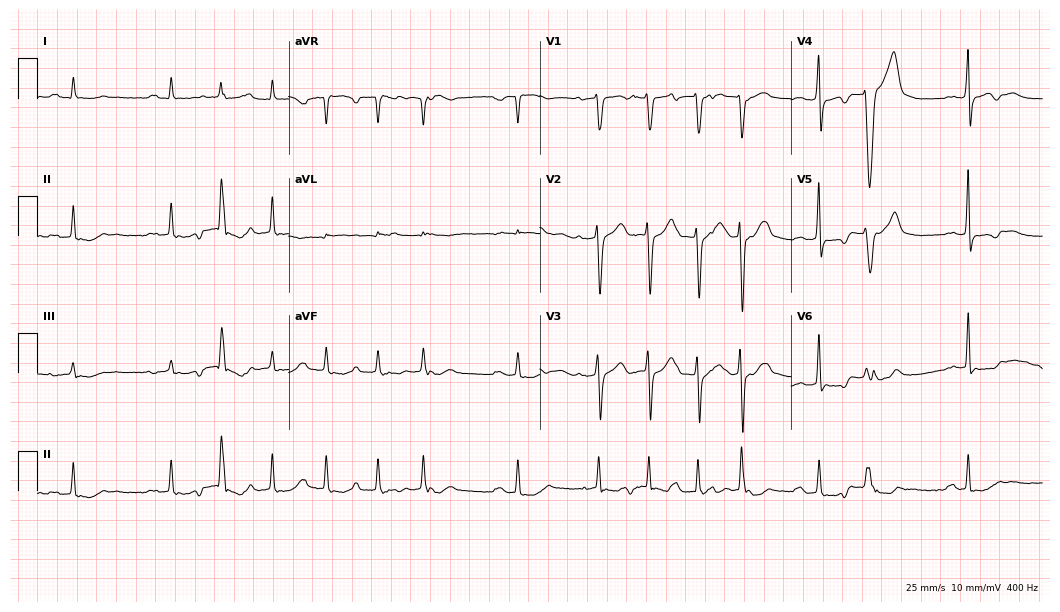
12-lead ECG (10.2-second recording at 400 Hz) from a male, 71 years old. Findings include first-degree AV block, atrial fibrillation, sinus tachycardia (a sinus rate of 100 beats per minute or more).